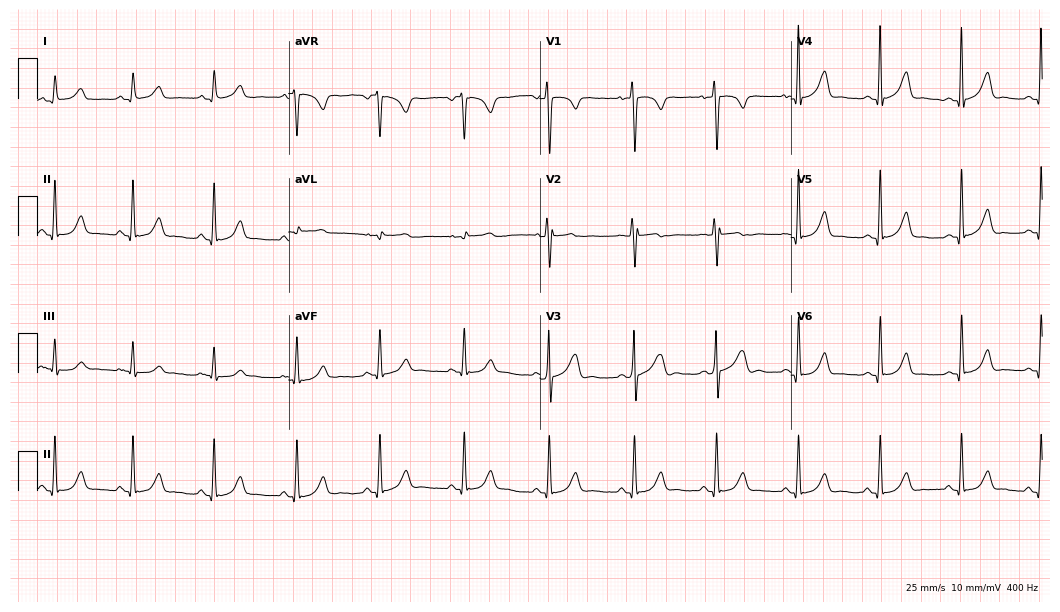
12-lead ECG from a 53-year-old woman. Recorded interpretation: within normal limits.